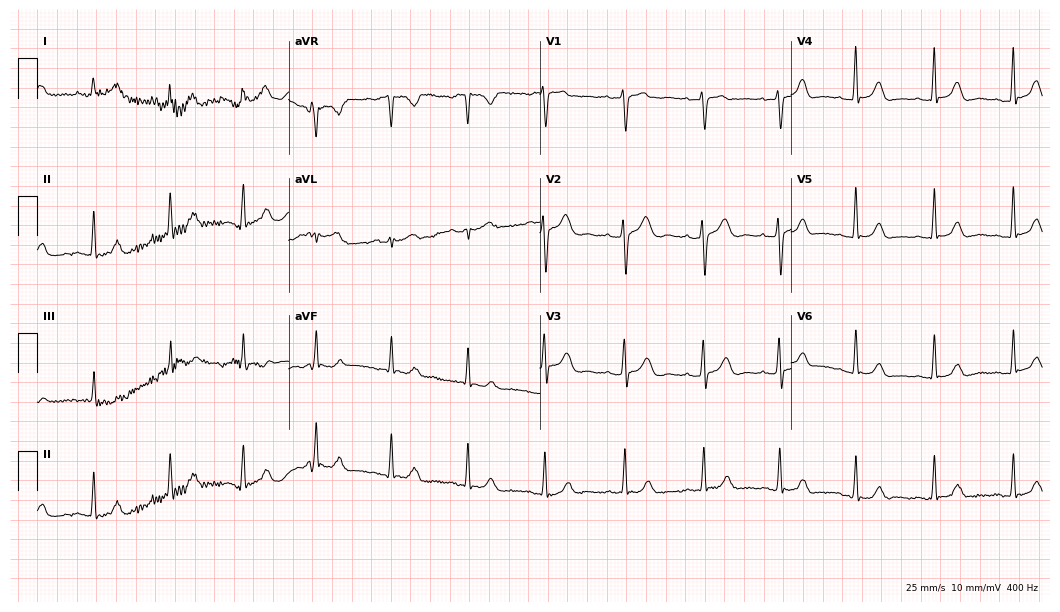
Electrocardiogram, a 56-year-old female patient. Overall reading on record: normal ECG.